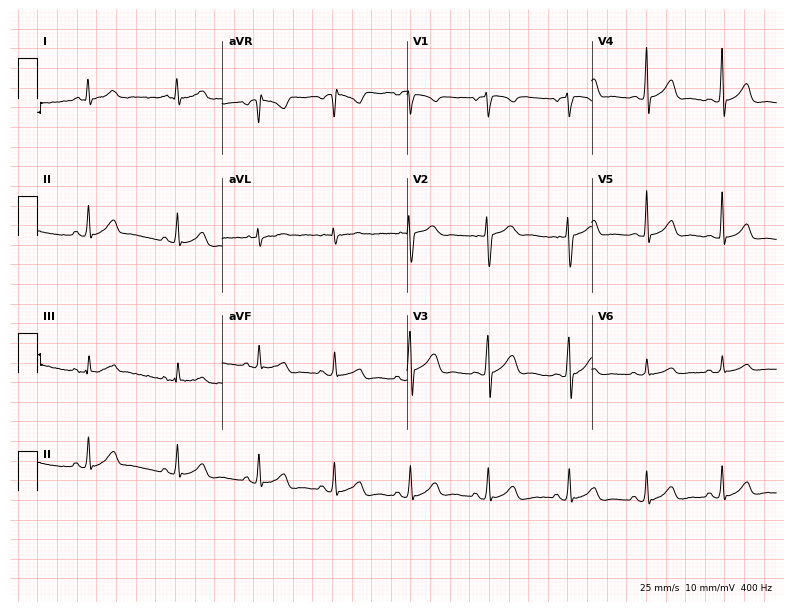
Standard 12-lead ECG recorded from a female patient, 17 years old. Read as a normal ECG.